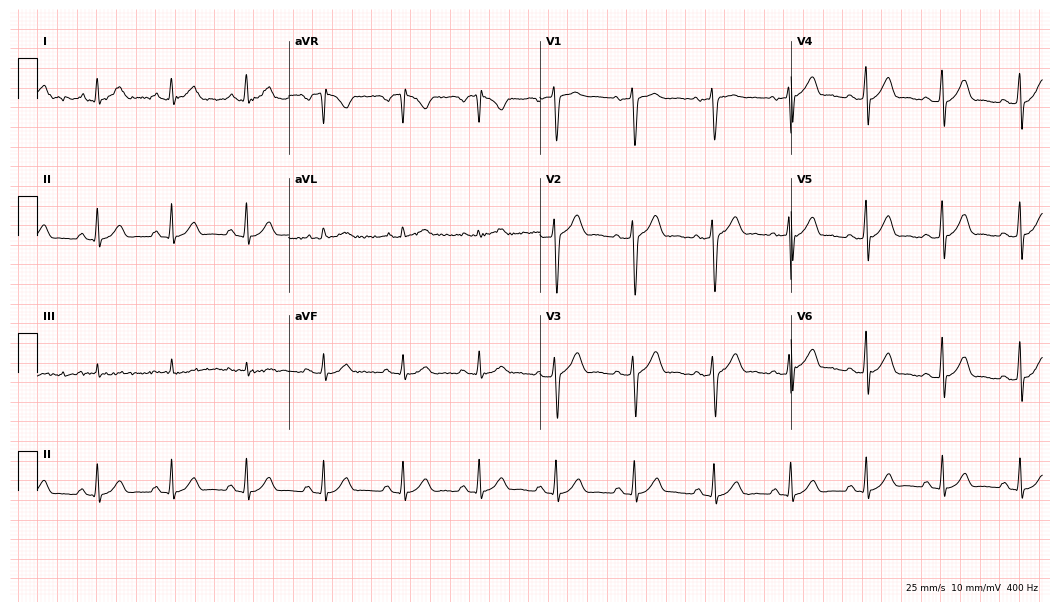
12-lead ECG from a male patient, 46 years old. Labelled as a normal ECG.